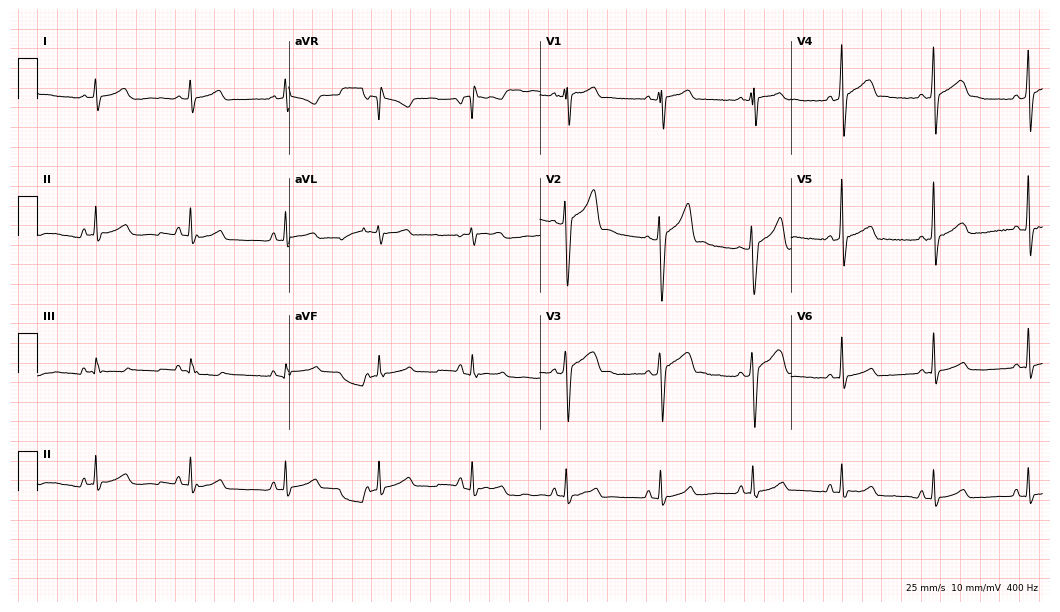
Electrocardiogram (10.2-second recording at 400 Hz), a 17-year-old male patient. Of the six screened findings (first-degree AV block, right bundle branch block, left bundle branch block, sinus bradycardia, atrial fibrillation, sinus tachycardia), none is recorded. Only these six findings were labelled.